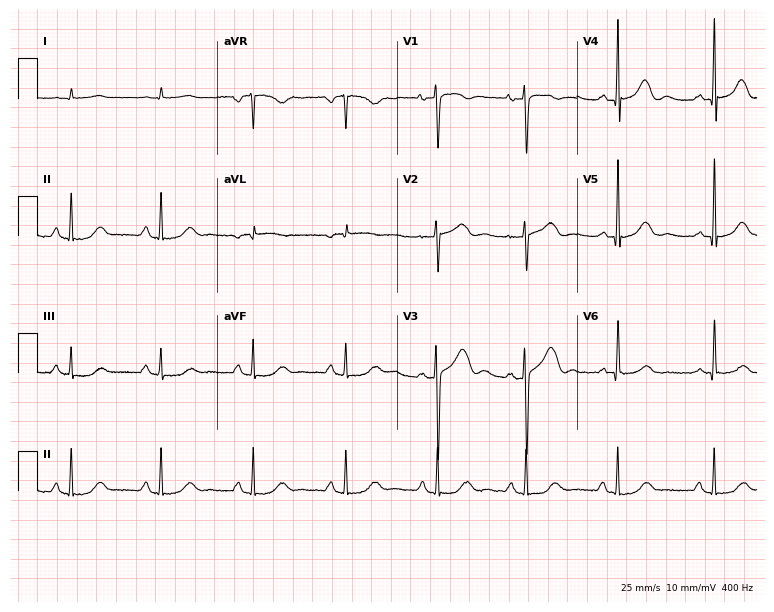
Resting 12-lead electrocardiogram (7.3-second recording at 400 Hz). Patient: a 70-year-old woman. Read as a normal ECG.